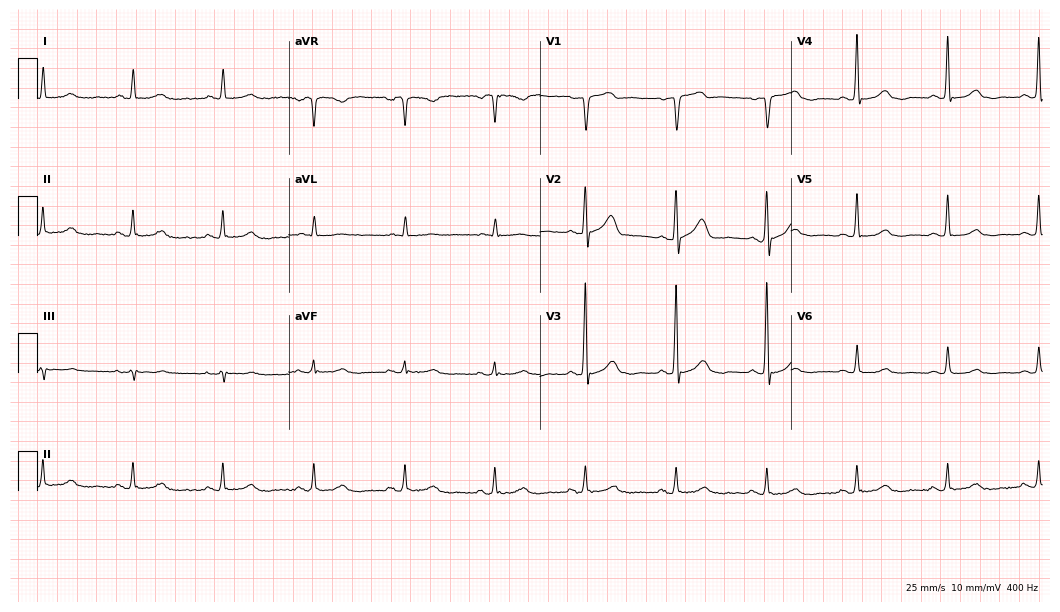
ECG — a 40-year-old male. Labelled as a normal ECG.